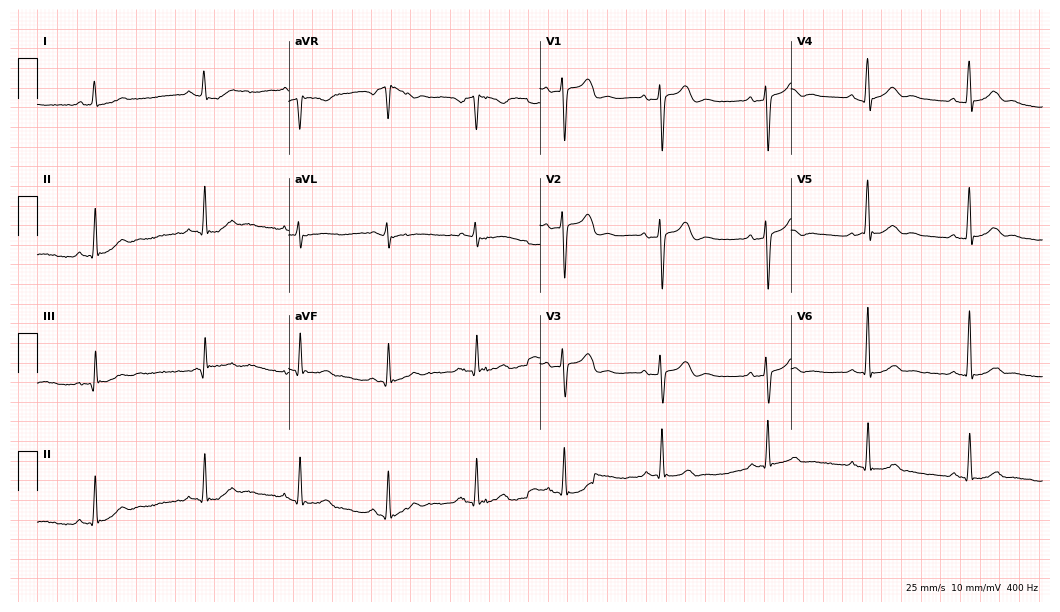
12-lead ECG from a 29-year-old man. Labelled as a normal ECG.